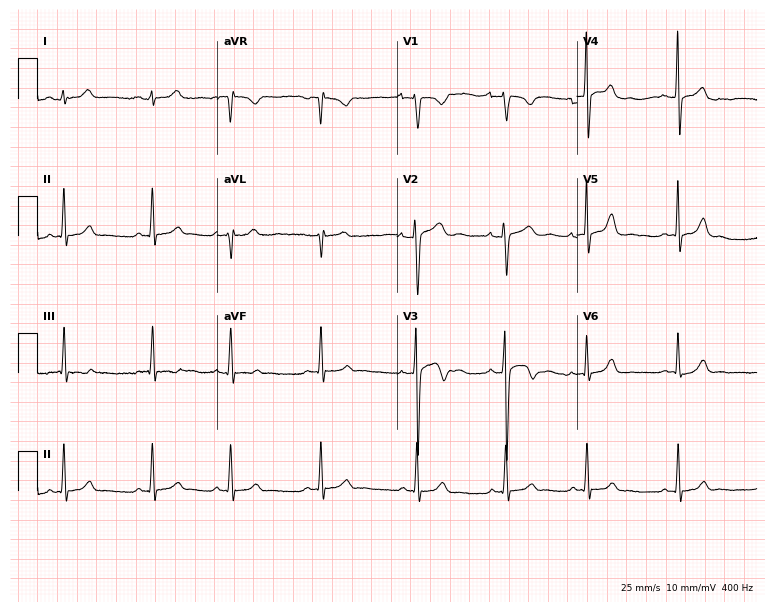
ECG — a male, 17 years old. Labelled as a normal ECG.